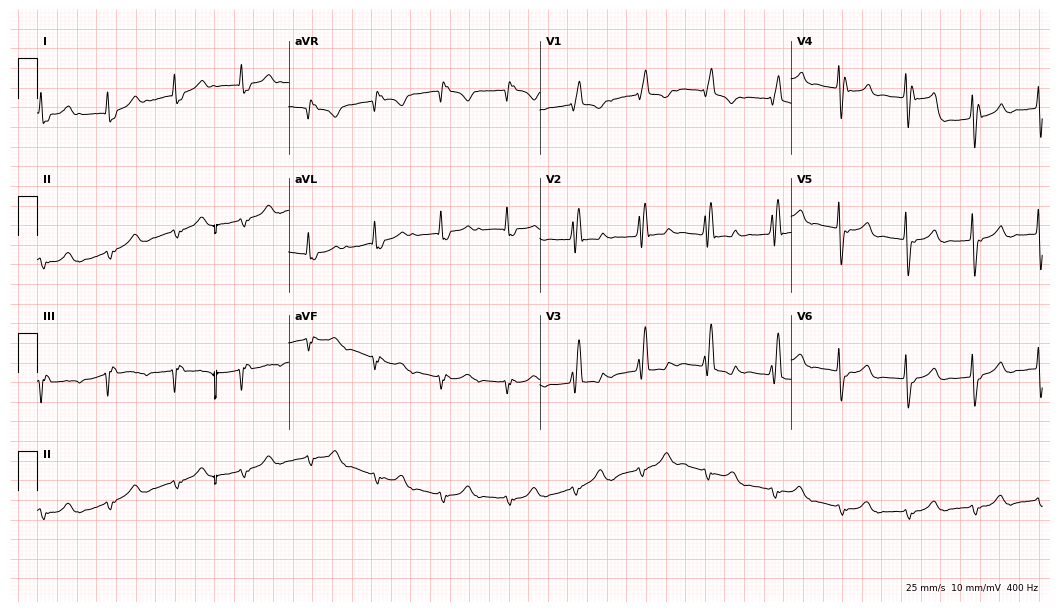
12-lead ECG from an 83-year-old man (10.2-second recording at 400 Hz). Shows first-degree AV block, right bundle branch block, atrial fibrillation.